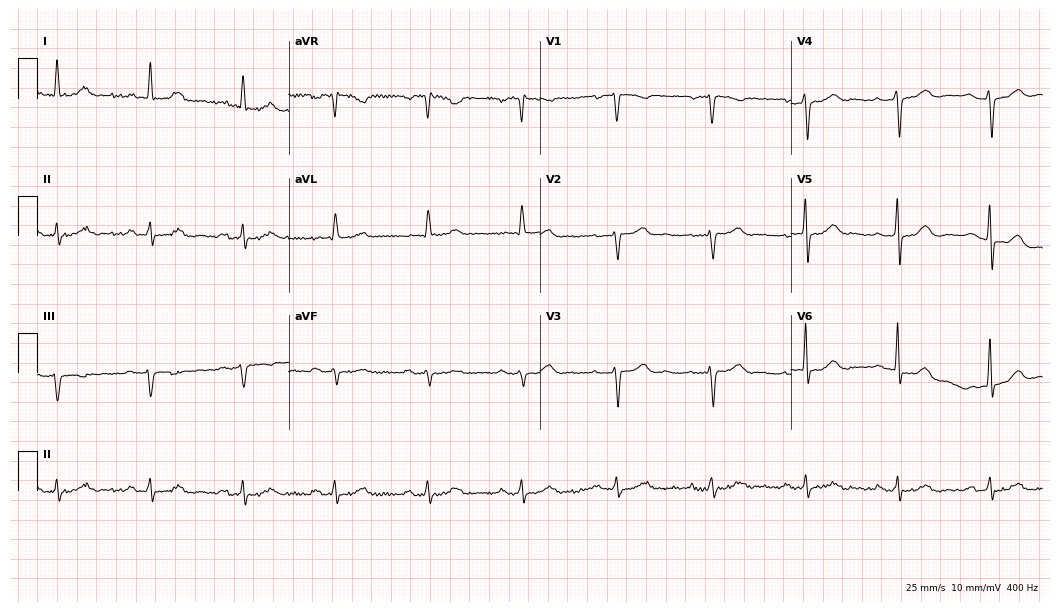
ECG — a female, 49 years old. Labelled as a normal ECG.